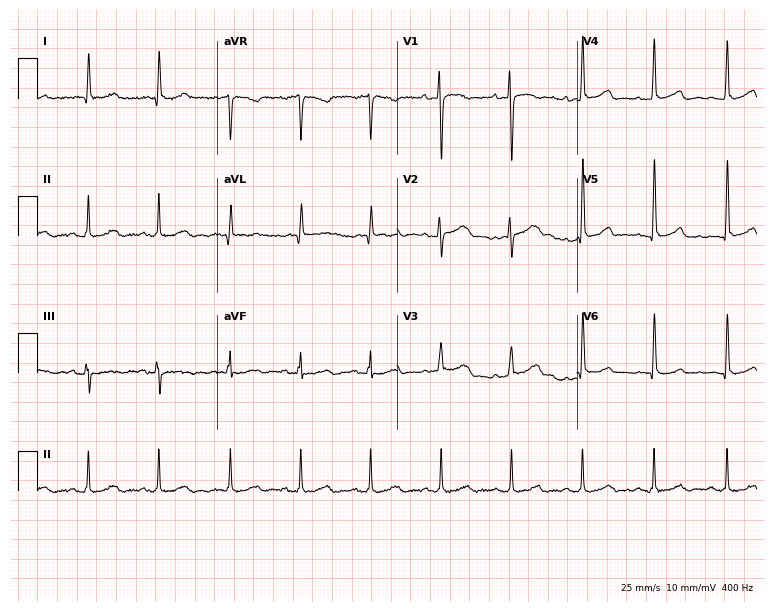
Electrocardiogram, a female, 73 years old. Of the six screened findings (first-degree AV block, right bundle branch block (RBBB), left bundle branch block (LBBB), sinus bradycardia, atrial fibrillation (AF), sinus tachycardia), none is recorded.